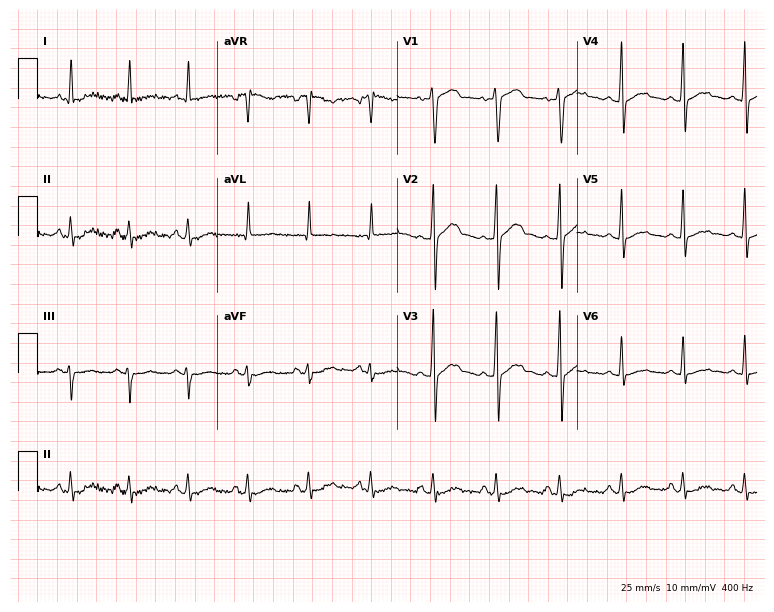
Resting 12-lead electrocardiogram. Patient: a male, 43 years old. None of these six findings is recorded: first-degree AV block, right bundle branch block (RBBB), left bundle branch block (LBBB), sinus bradycardia, atrial fibrillation (AF), sinus tachycardia. Only these six findings were labelled.